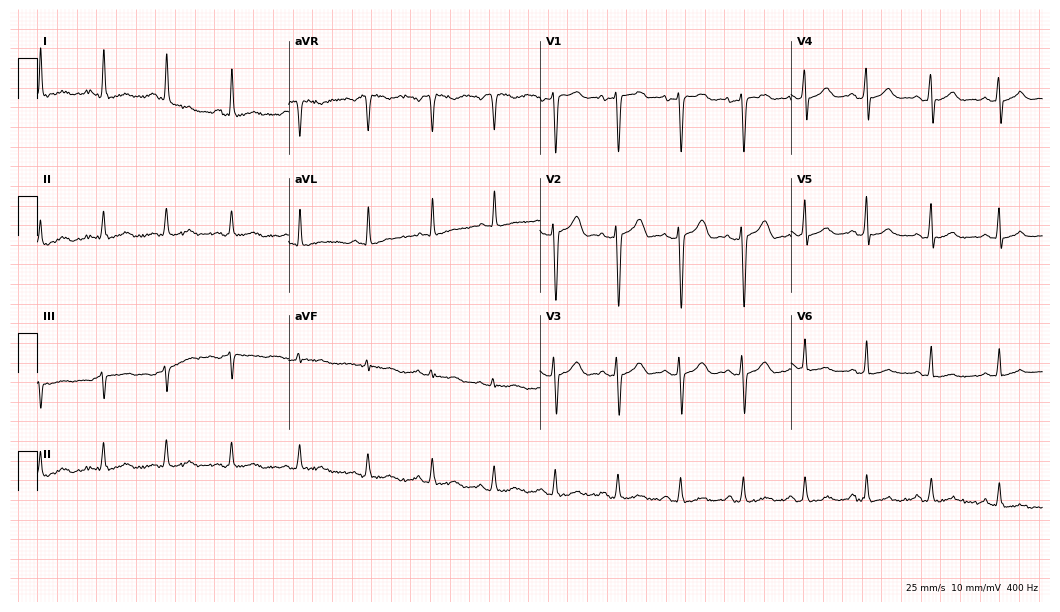
Standard 12-lead ECG recorded from a female patient, 42 years old. None of these six findings is recorded: first-degree AV block, right bundle branch block, left bundle branch block, sinus bradycardia, atrial fibrillation, sinus tachycardia. Findings outside these six are not listed.